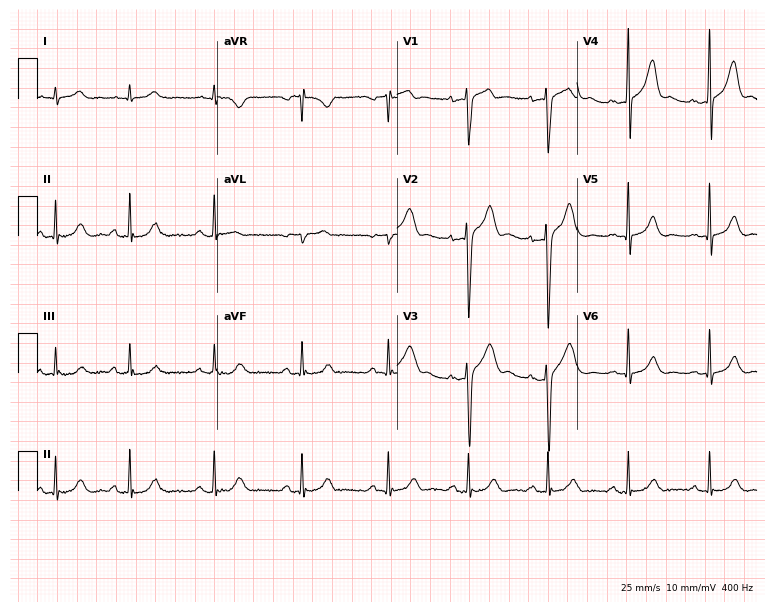
12-lead ECG from a 46-year-old male patient (7.3-second recording at 400 Hz). No first-degree AV block, right bundle branch block, left bundle branch block, sinus bradycardia, atrial fibrillation or sinus tachycardia recorded for this tracing.